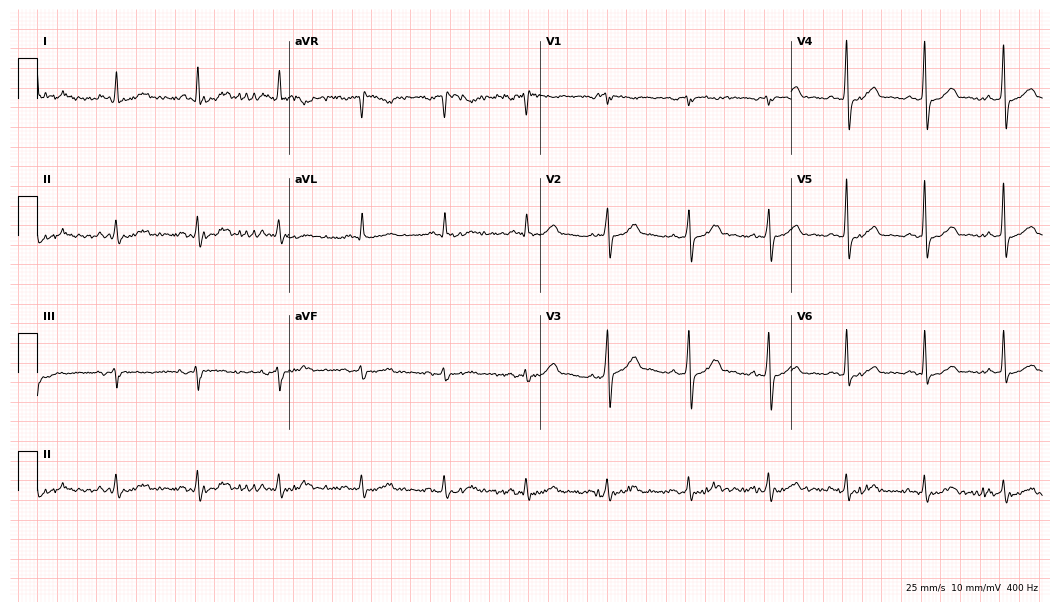
12-lead ECG from a 63-year-old male patient. Recorded interpretation: within normal limits.